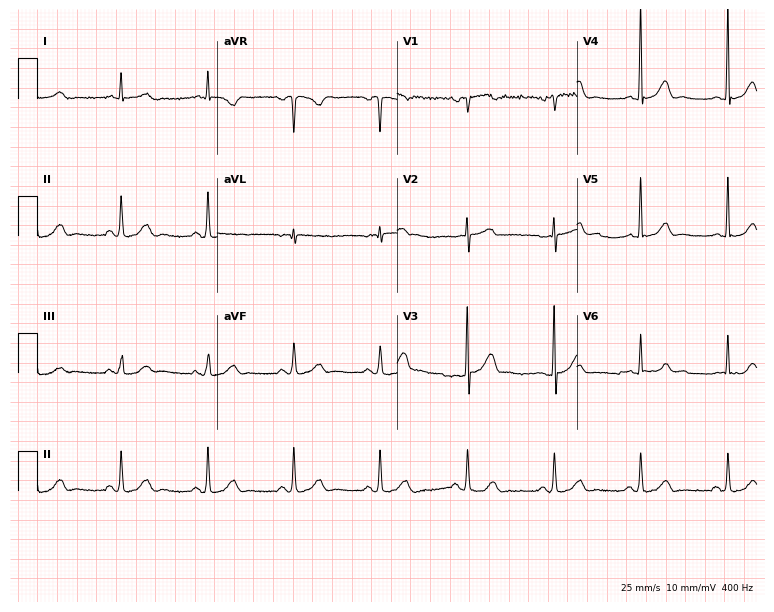
12-lead ECG from a 77-year-old male. Recorded interpretation: within normal limits.